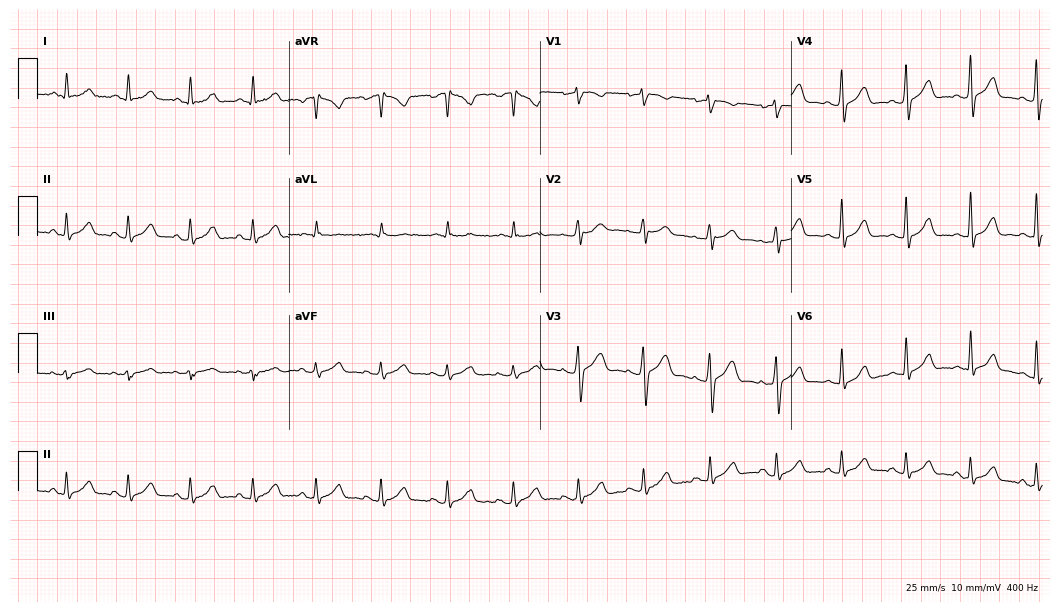
Resting 12-lead electrocardiogram. Patient: a female, 32 years old. Read as a normal ECG.